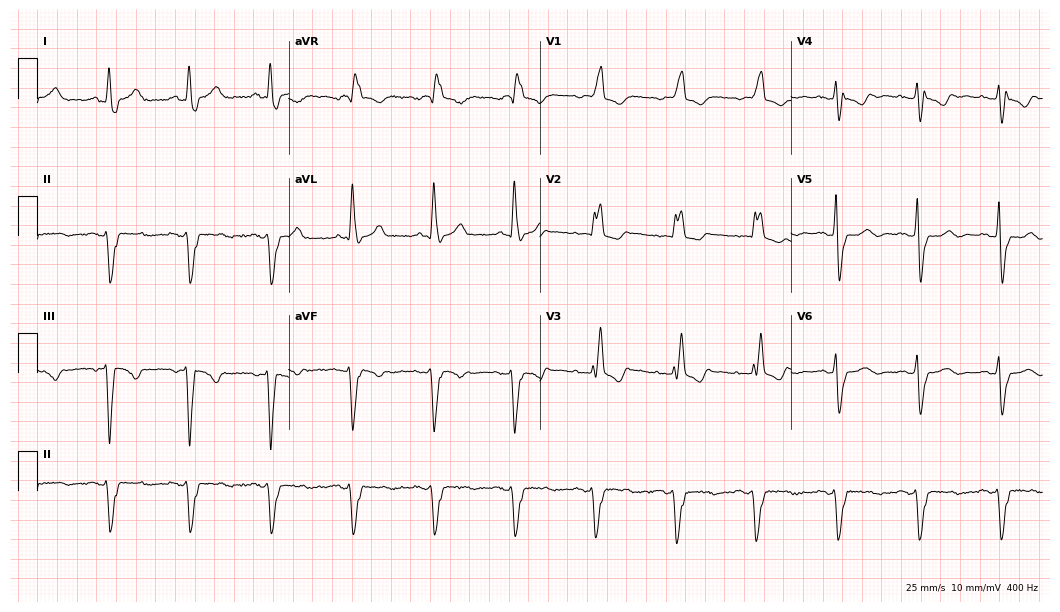
12-lead ECG from a man, 77 years old. Shows right bundle branch block.